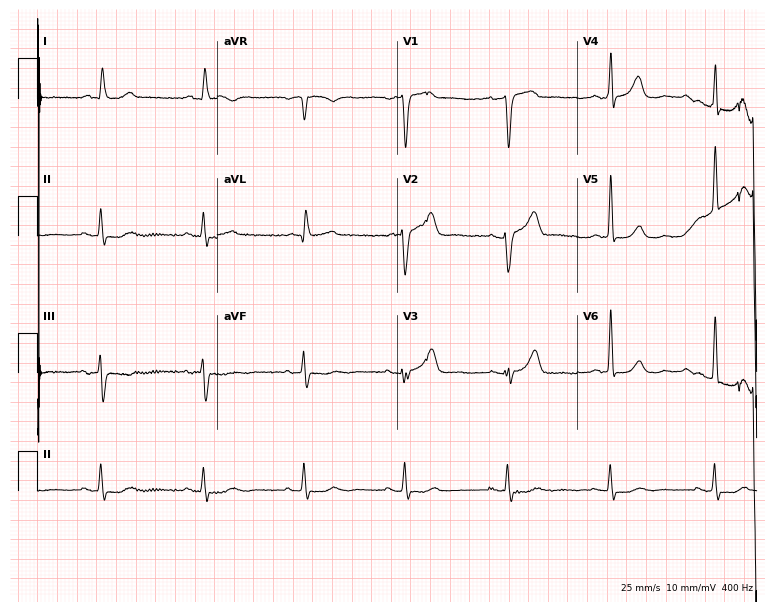
12-lead ECG from a male, 83 years old (7.3-second recording at 400 Hz). Recorded interpretation: within normal limits.